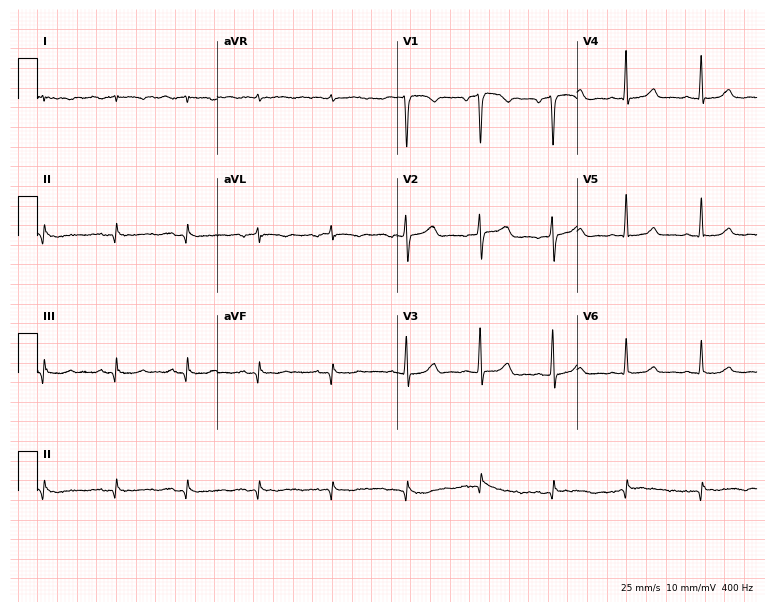
12-lead ECG from a 66-year-old female (7.3-second recording at 400 Hz). No first-degree AV block, right bundle branch block, left bundle branch block, sinus bradycardia, atrial fibrillation or sinus tachycardia recorded for this tracing.